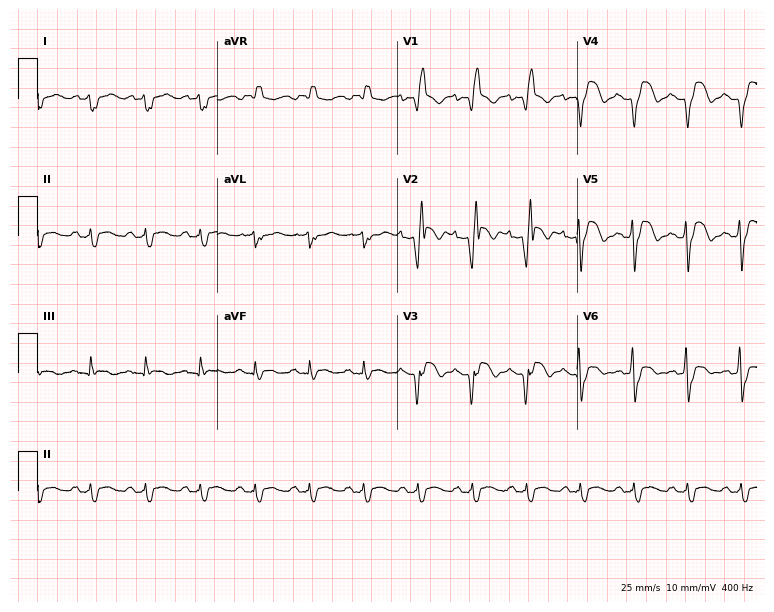
Standard 12-lead ECG recorded from a man, 30 years old. None of these six findings is recorded: first-degree AV block, right bundle branch block (RBBB), left bundle branch block (LBBB), sinus bradycardia, atrial fibrillation (AF), sinus tachycardia.